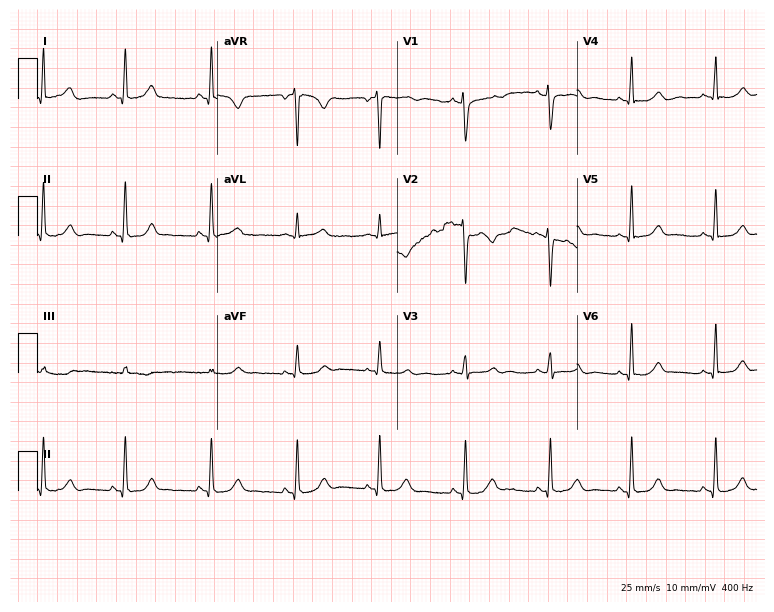
12-lead ECG from a 31-year-old female. Labelled as a normal ECG.